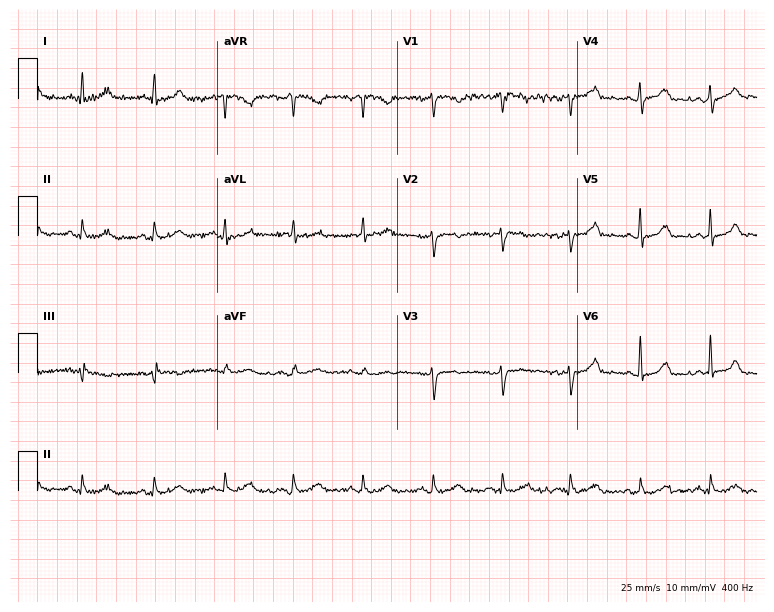
Resting 12-lead electrocardiogram (7.3-second recording at 400 Hz). Patient: a 49-year-old female. Read as a normal ECG.